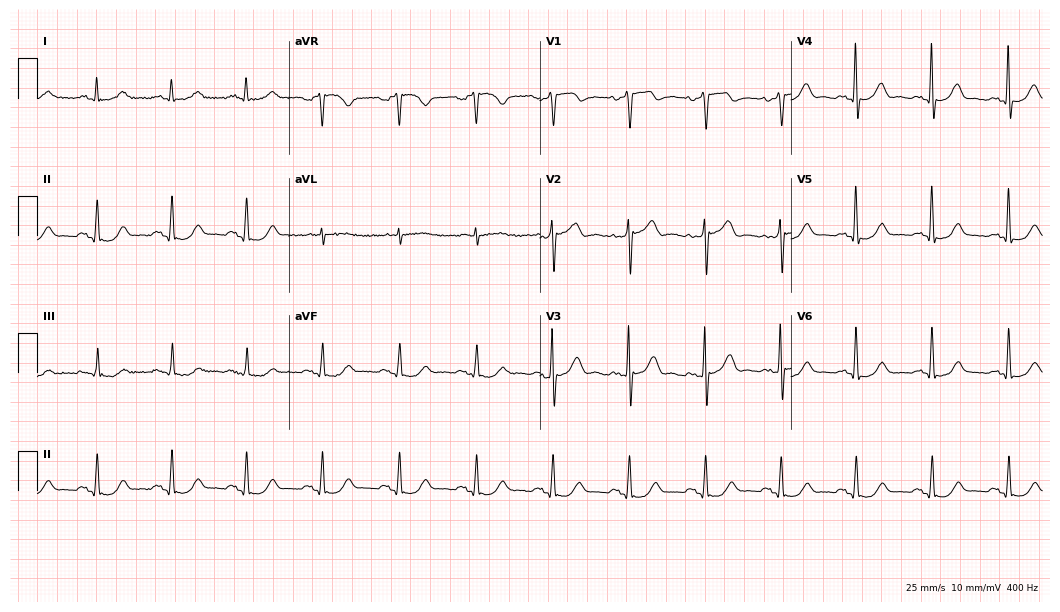
ECG — a 72-year-old man. Screened for six findings — first-degree AV block, right bundle branch block, left bundle branch block, sinus bradycardia, atrial fibrillation, sinus tachycardia — none is recorded.